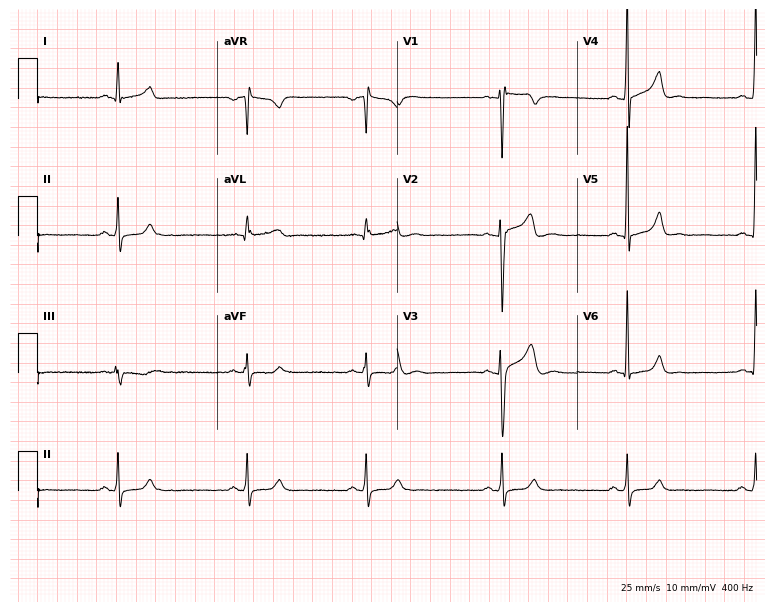
Standard 12-lead ECG recorded from a male, 34 years old. The tracing shows sinus bradycardia (a sinus rate of 50 beats per minute or less).